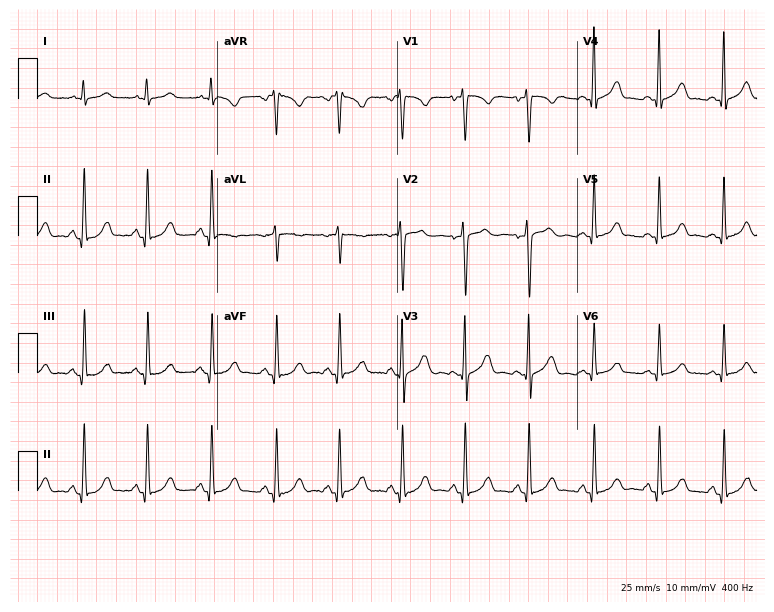
12-lead ECG from a 32-year-old female patient. Labelled as a normal ECG.